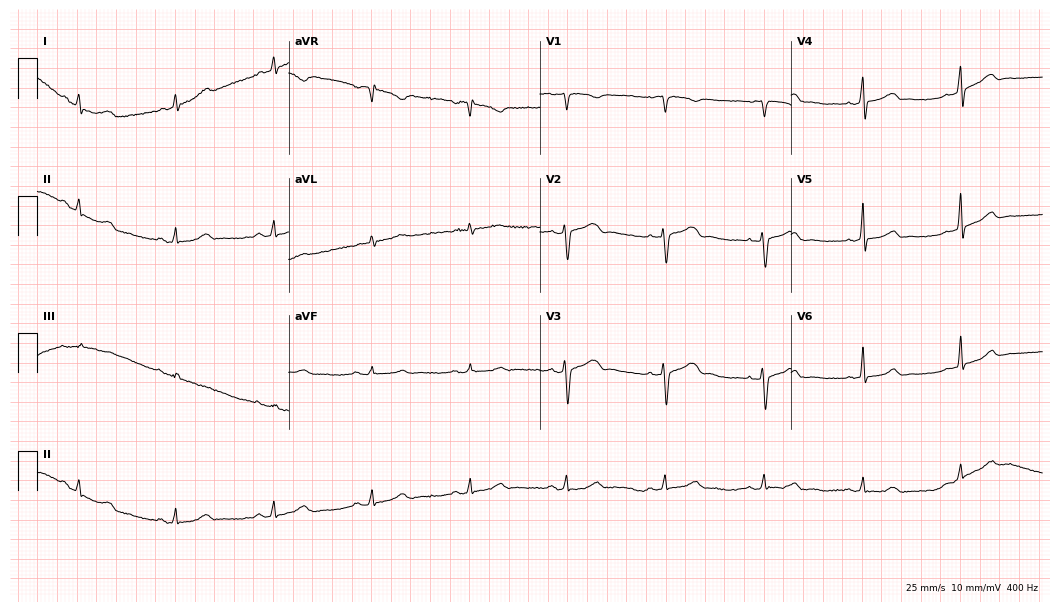
Standard 12-lead ECG recorded from a female, 31 years old (10.2-second recording at 400 Hz). None of these six findings is recorded: first-degree AV block, right bundle branch block (RBBB), left bundle branch block (LBBB), sinus bradycardia, atrial fibrillation (AF), sinus tachycardia. Only these six findings were labelled.